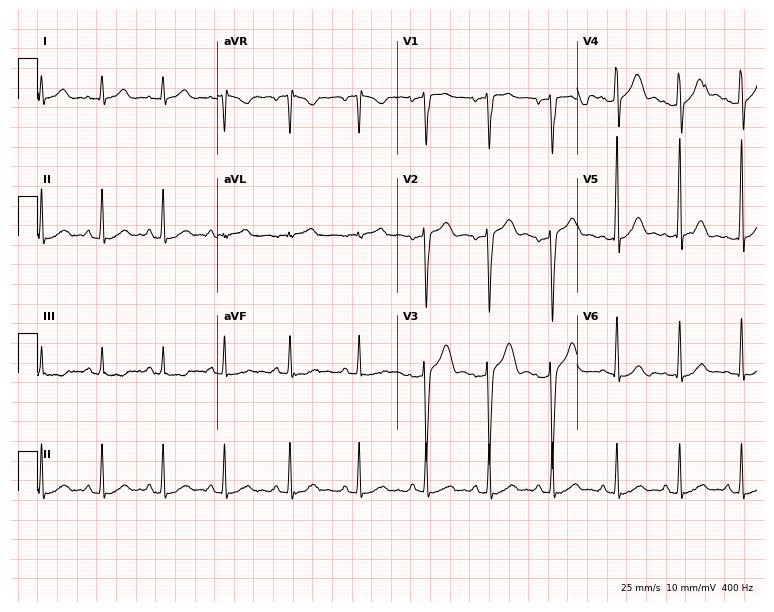
Resting 12-lead electrocardiogram. Patient: a 22-year-old male. Read as a normal ECG.